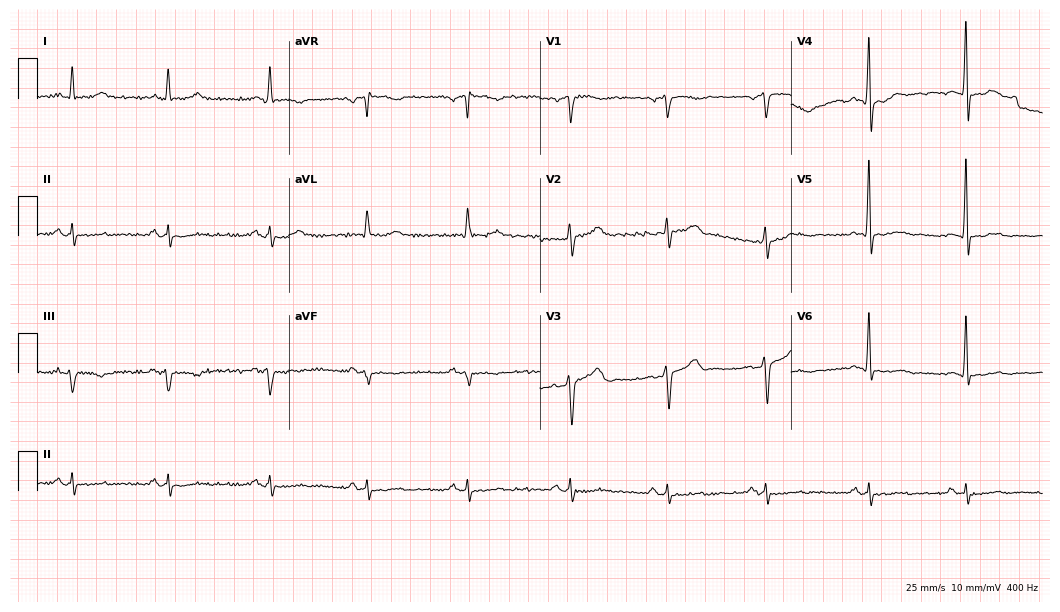
12-lead ECG from a man, 58 years old. No first-degree AV block, right bundle branch block (RBBB), left bundle branch block (LBBB), sinus bradycardia, atrial fibrillation (AF) or sinus tachycardia recorded for this tracing. Other findings, if any, are not listed.